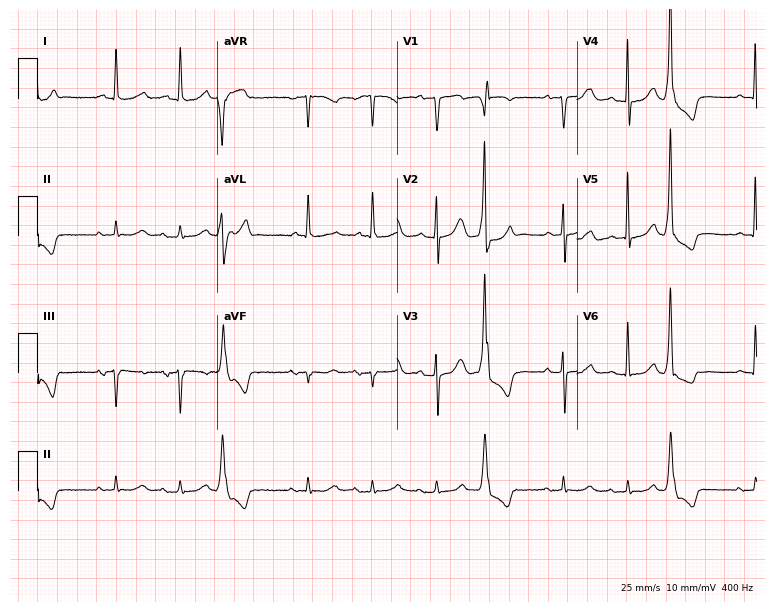
ECG — a female, 74 years old. Screened for six findings — first-degree AV block, right bundle branch block, left bundle branch block, sinus bradycardia, atrial fibrillation, sinus tachycardia — none is recorded. Findings outside these six are not listed.